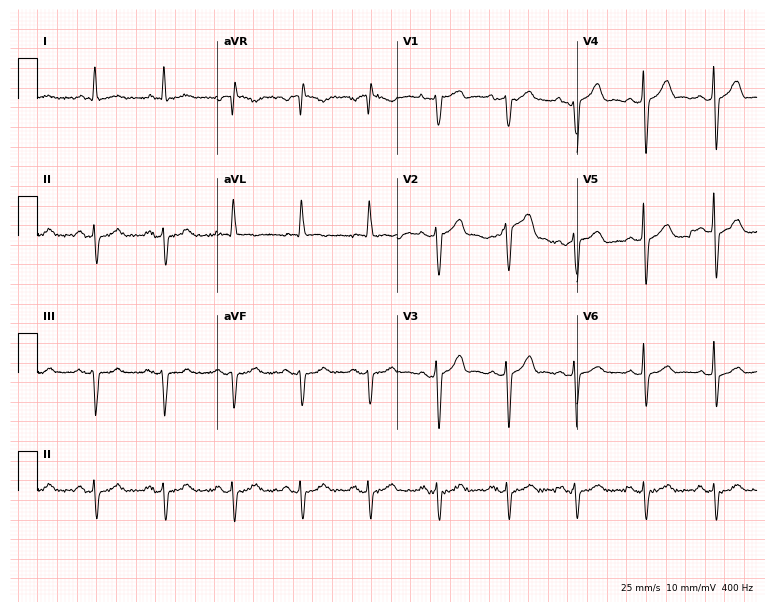
ECG — a male, 82 years old. Screened for six findings — first-degree AV block, right bundle branch block (RBBB), left bundle branch block (LBBB), sinus bradycardia, atrial fibrillation (AF), sinus tachycardia — none is recorded.